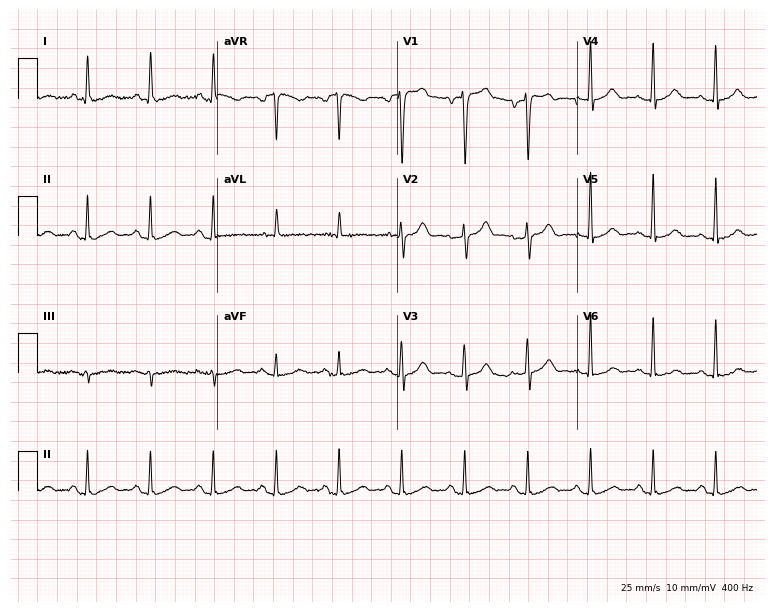
Electrocardiogram (7.3-second recording at 400 Hz), a 78-year-old male patient. Of the six screened findings (first-degree AV block, right bundle branch block, left bundle branch block, sinus bradycardia, atrial fibrillation, sinus tachycardia), none is recorded. Only these six findings were labelled.